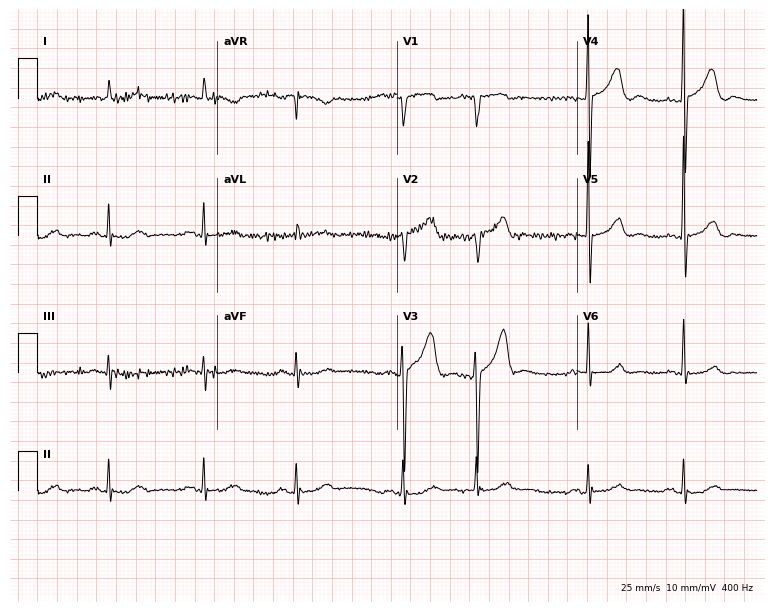
Electrocardiogram (7.3-second recording at 400 Hz), a woman, 80 years old. Of the six screened findings (first-degree AV block, right bundle branch block (RBBB), left bundle branch block (LBBB), sinus bradycardia, atrial fibrillation (AF), sinus tachycardia), none is recorded.